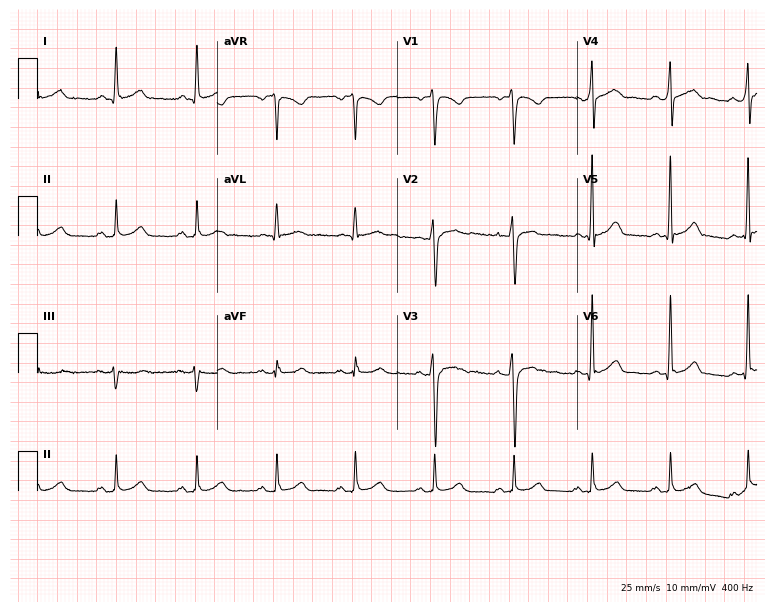
Resting 12-lead electrocardiogram (7.3-second recording at 400 Hz). Patient: a 47-year-old male. Read as a normal ECG.